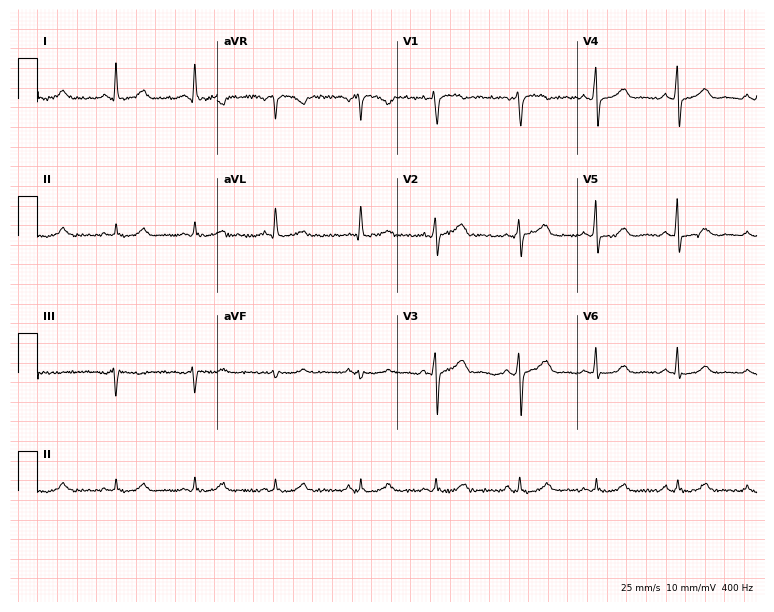
12-lead ECG from a 74-year-old female patient. Labelled as a normal ECG.